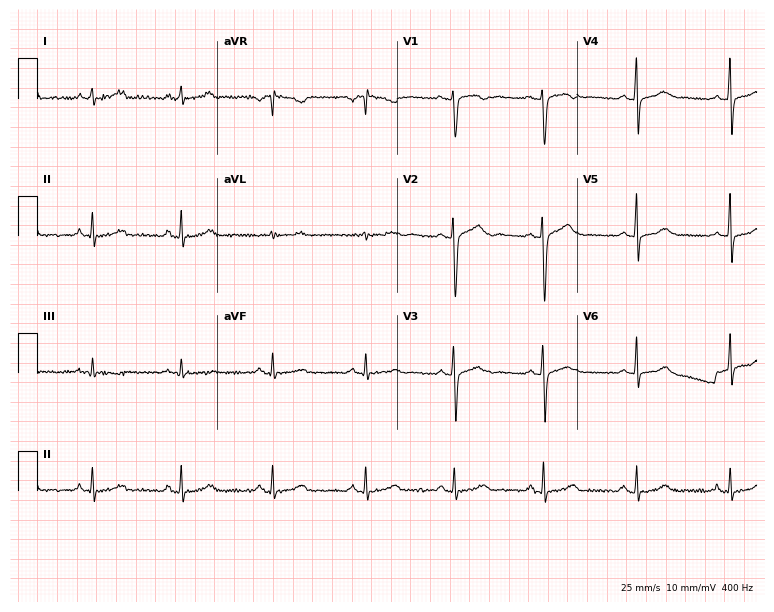
Standard 12-lead ECG recorded from a woman, 35 years old. Read as a normal ECG.